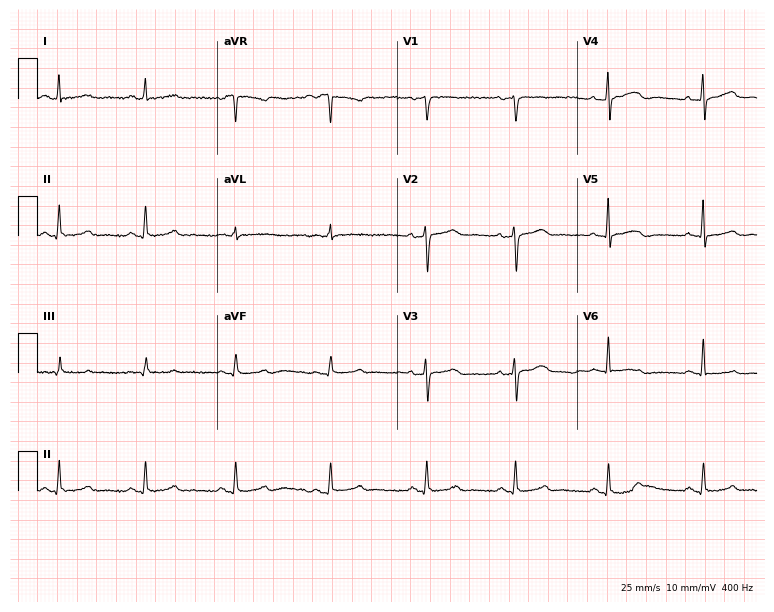
12-lead ECG (7.3-second recording at 400 Hz) from a 58-year-old woman. Screened for six findings — first-degree AV block, right bundle branch block, left bundle branch block, sinus bradycardia, atrial fibrillation, sinus tachycardia — none is recorded.